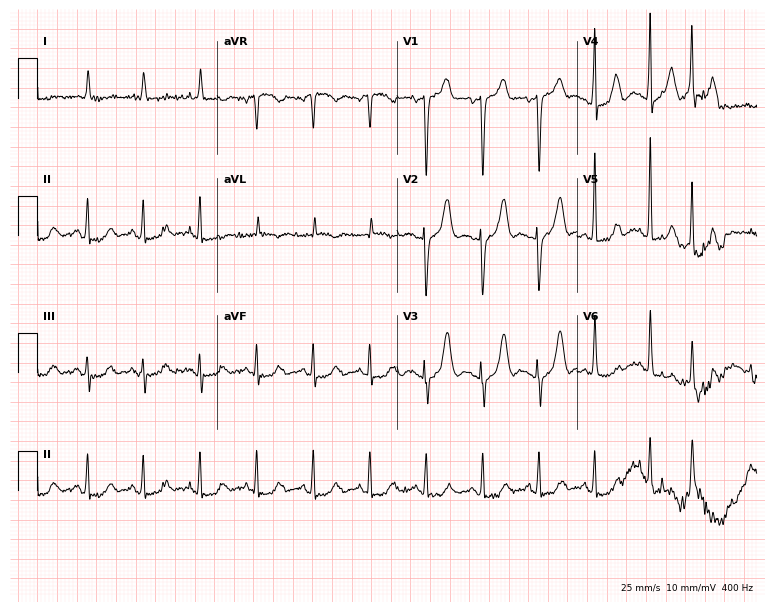
Resting 12-lead electrocardiogram (7.3-second recording at 400 Hz). Patient: an 80-year-old female. The tracing shows sinus tachycardia (a sinus rate of 100 beats per minute or more).